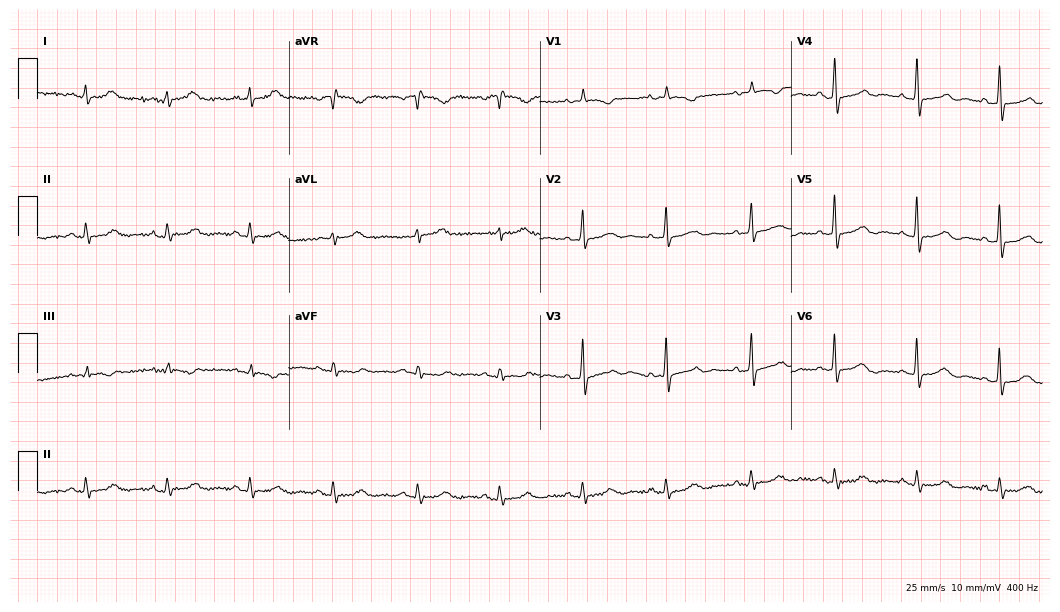
Resting 12-lead electrocardiogram (10.2-second recording at 400 Hz). Patient: a 77-year-old female. Read as a normal ECG.